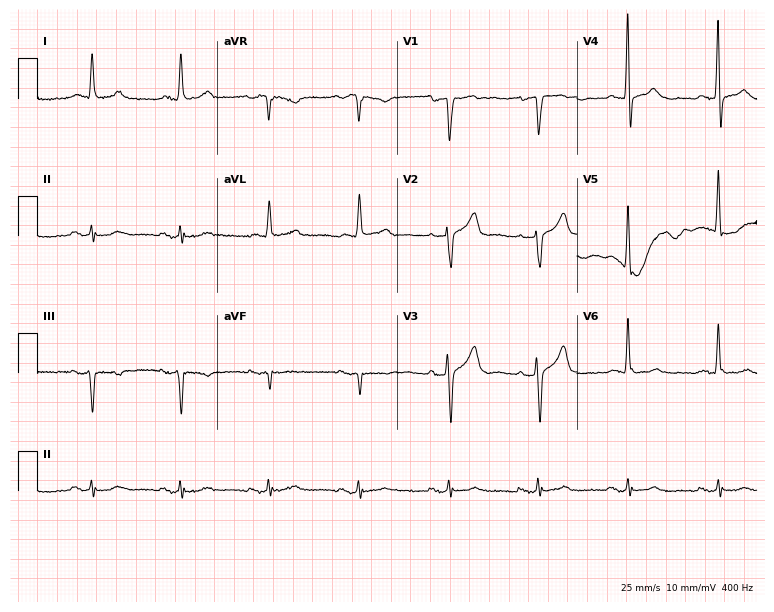
12-lead ECG from a 70-year-old male (7.3-second recording at 400 Hz). No first-degree AV block, right bundle branch block, left bundle branch block, sinus bradycardia, atrial fibrillation or sinus tachycardia recorded for this tracing.